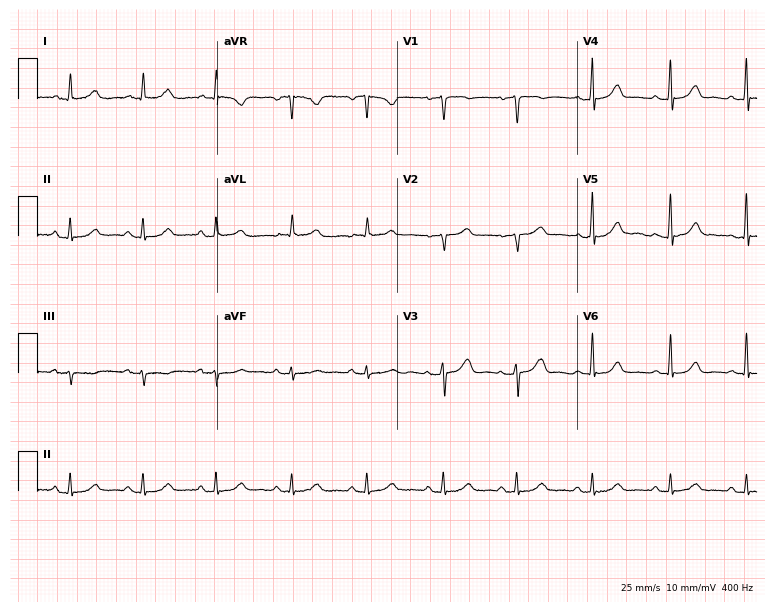
12-lead ECG from a woman, 78 years old. No first-degree AV block, right bundle branch block (RBBB), left bundle branch block (LBBB), sinus bradycardia, atrial fibrillation (AF) or sinus tachycardia recorded for this tracing. Other findings, if any, are not listed.